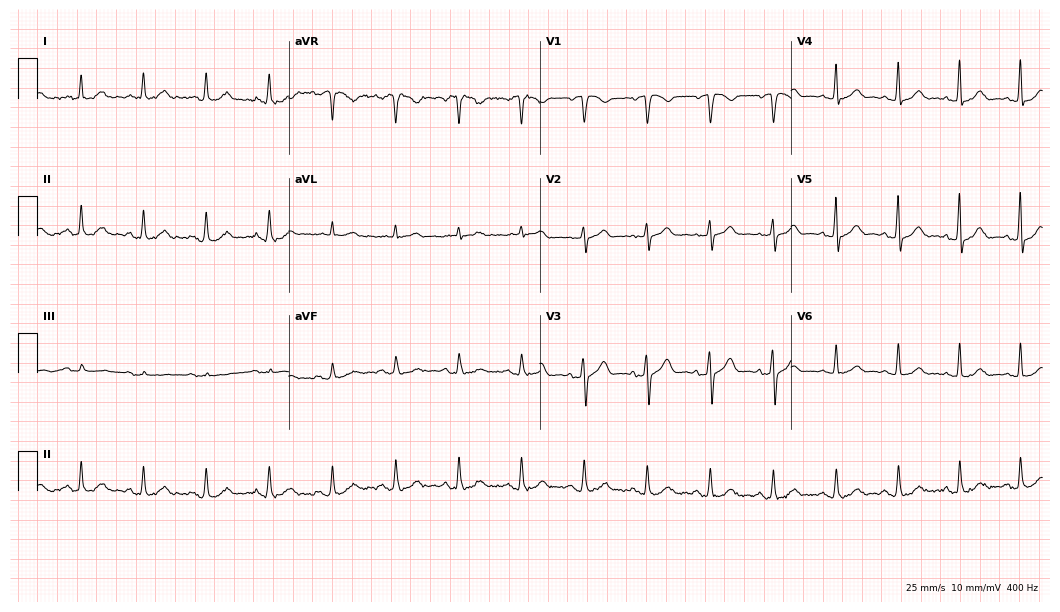
Standard 12-lead ECG recorded from a female, 65 years old (10.2-second recording at 400 Hz). Read as a normal ECG.